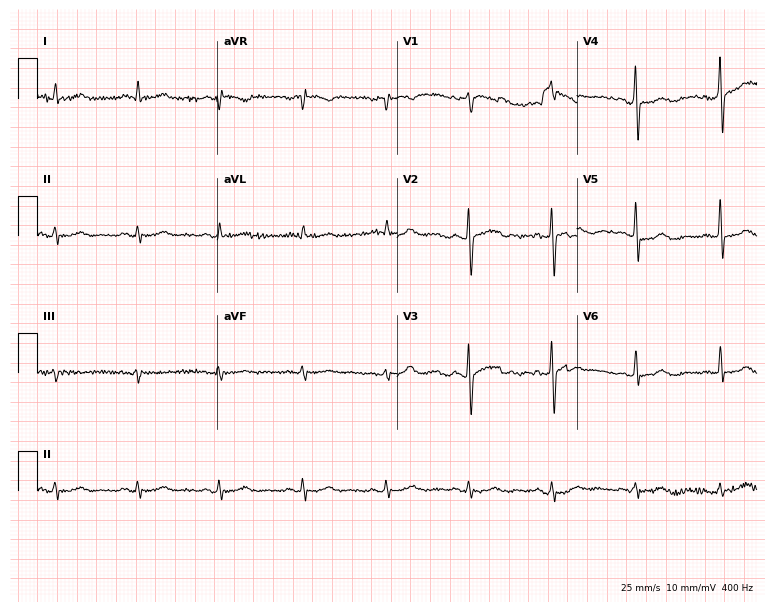
Electrocardiogram (7.3-second recording at 400 Hz), a 67-year-old male. Overall reading on record: normal ECG.